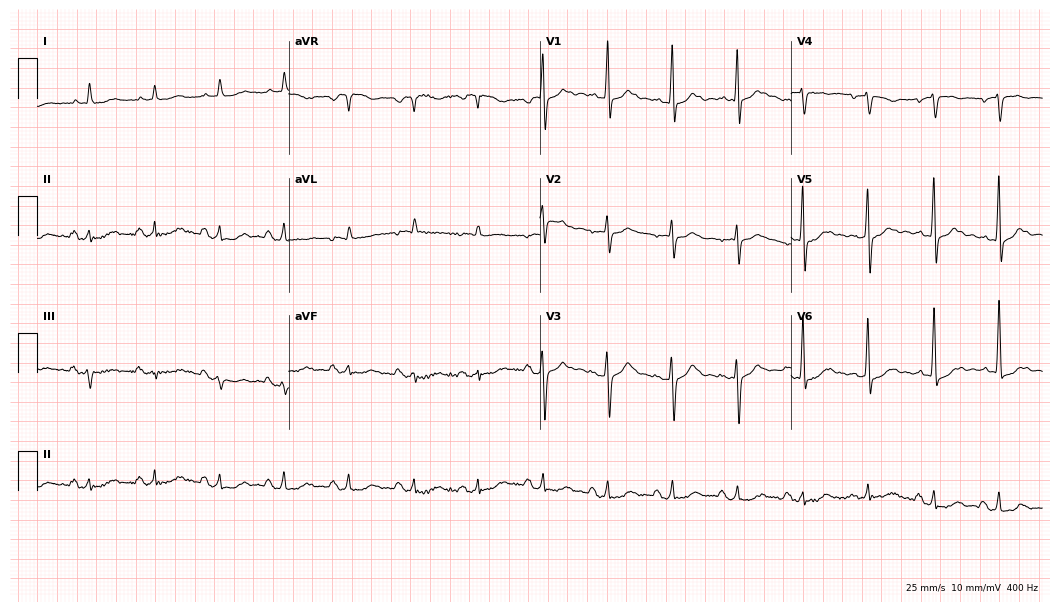
12-lead ECG (10.2-second recording at 400 Hz) from a man, 74 years old. Screened for six findings — first-degree AV block, right bundle branch block, left bundle branch block, sinus bradycardia, atrial fibrillation, sinus tachycardia — none is recorded.